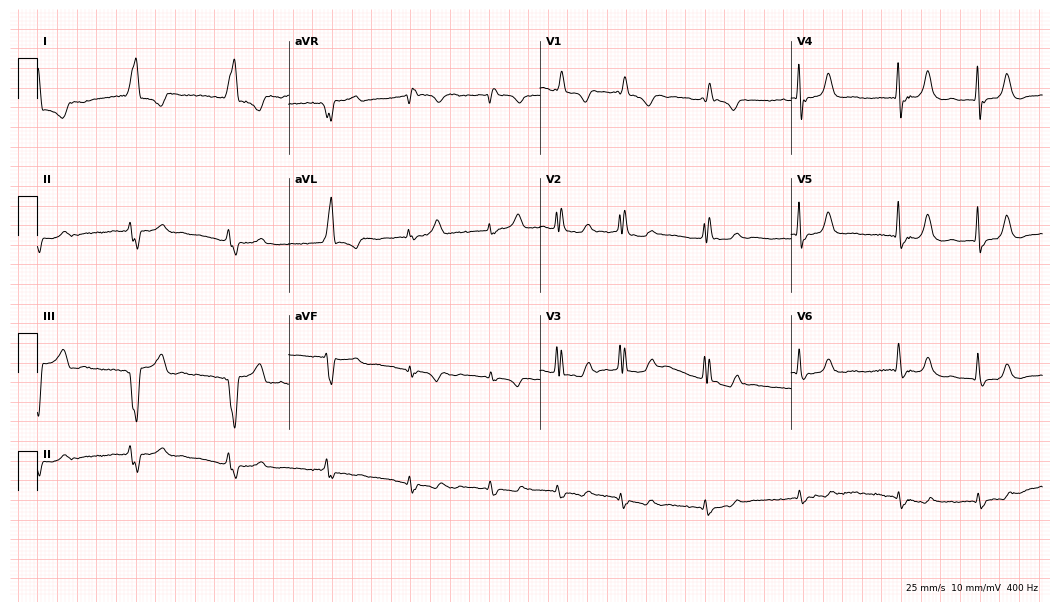
ECG — an 80-year-old woman. Screened for six findings — first-degree AV block, right bundle branch block, left bundle branch block, sinus bradycardia, atrial fibrillation, sinus tachycardia — none is recorded. Findings outside these six are not listed.